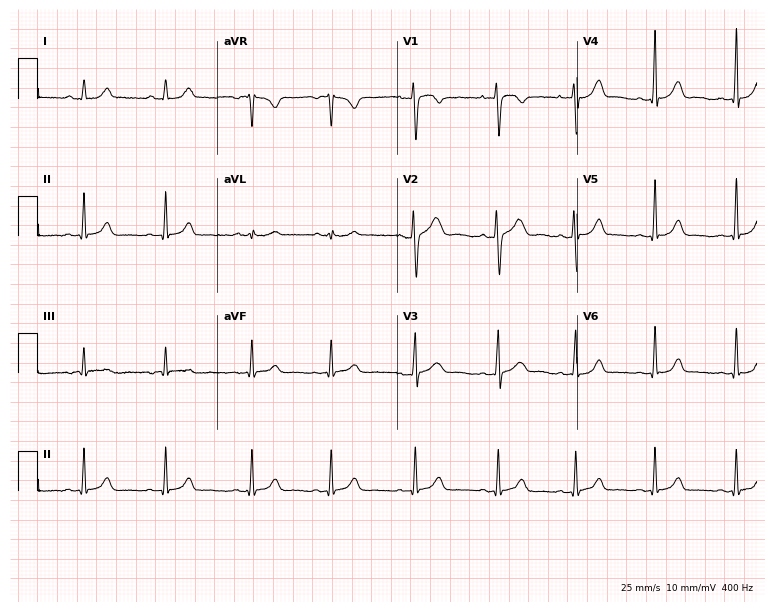
Electrocardiogram (7.3-second recording at 400 Hz), a 25-year-old female. Overall reading on record: normal ECG.